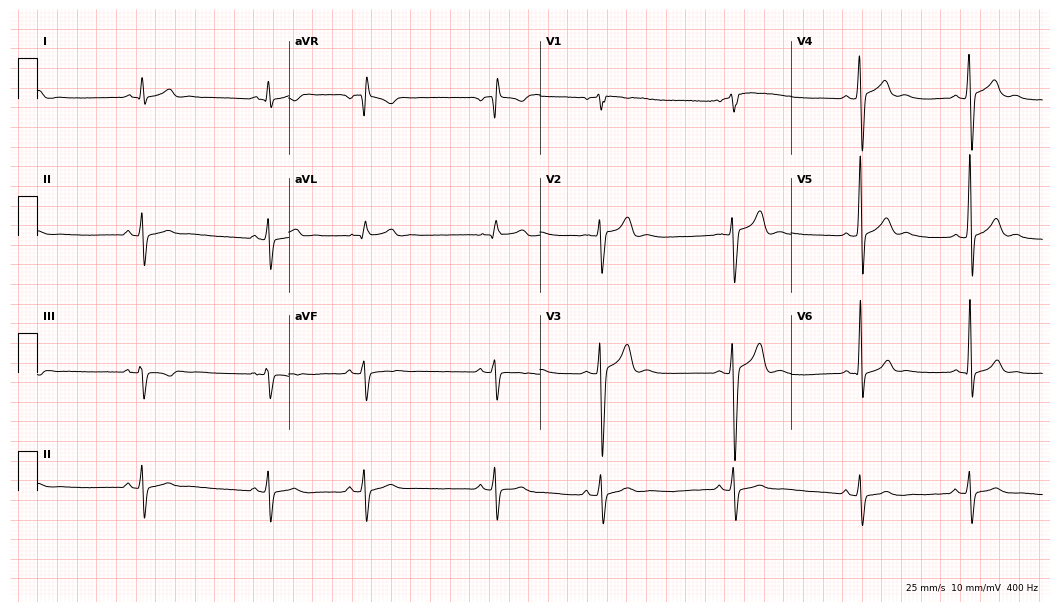
Electrocardiogram, a male, 18 years old. Of the six screened findings (first-degree AV block, right bundle branch block, left bundle branch block, sinus bradycardia, atrial fibrillation, sinus tachycardia), none is recorded.